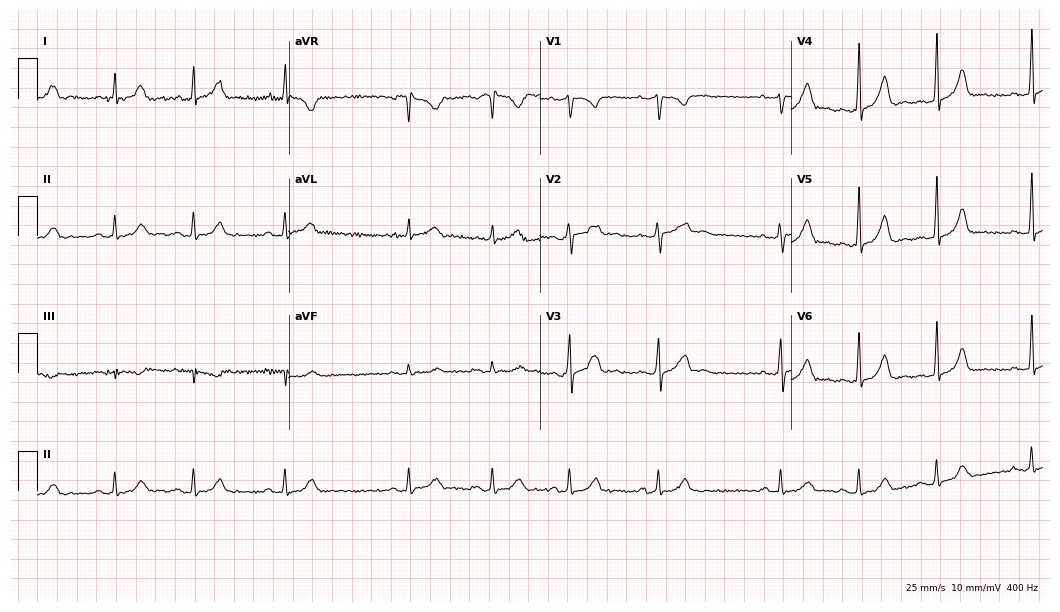
Resting 12-lead electrocardiogram. Patient: a 31-year-old female. None of these six findings is recorded: first-degree AV block, right bundle branch block, left bundle branch block, sinus bradycardia, atrial fibrillation, sinus tachycardia.